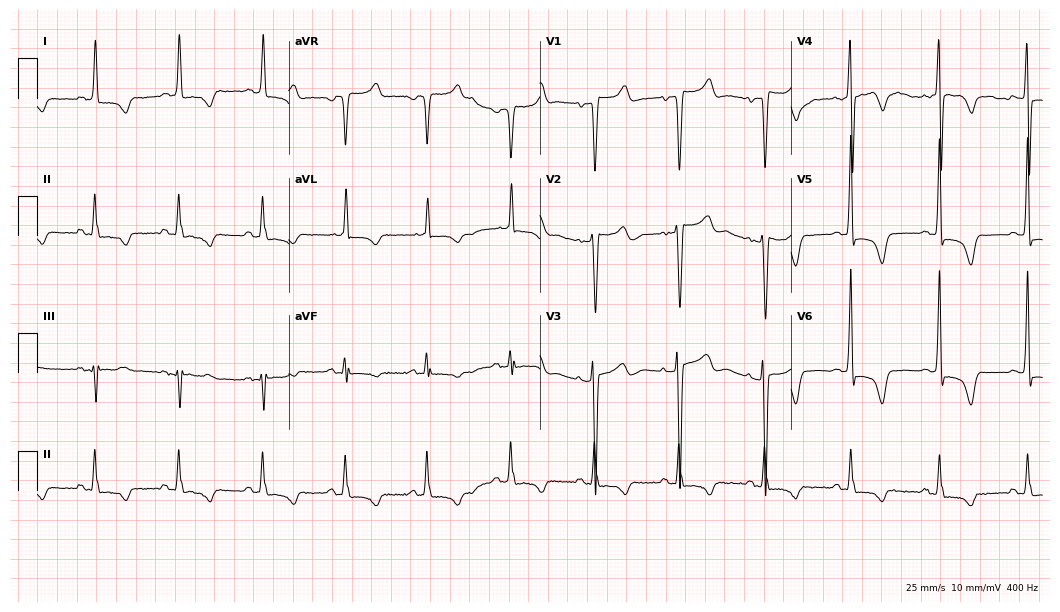
ECG — a 60-year-old female patient. Screened for six findings — first-degree AV block, right bundle branch block (RBBB), left bundle branch block (LBBB), sinus bradycardia, atrial fibrillation (AF), sinus tachycardia — none is recorded.